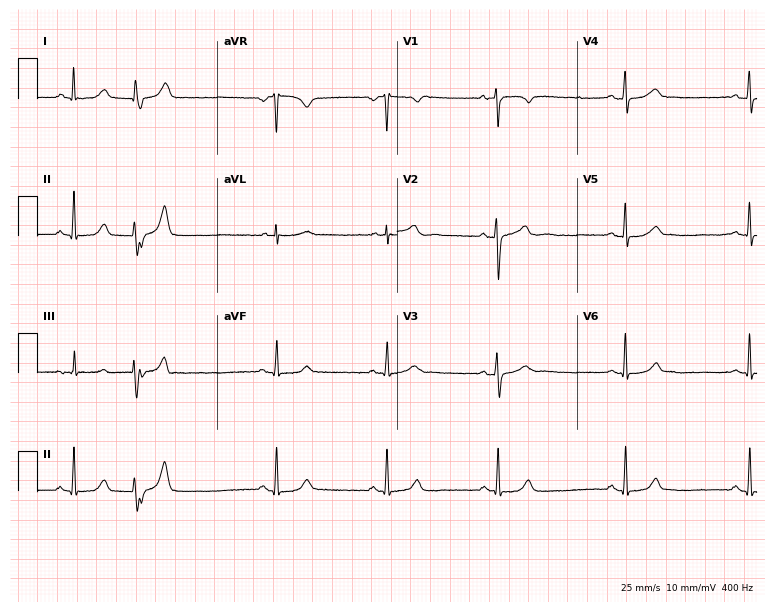
Resting 12-lead electrocardiogram (7.3-second recording at 400 Hz). Patient: a female, 29 years old. The tracing shows sinus bradycardia (a sinus rate of 50 beats per minute or less).